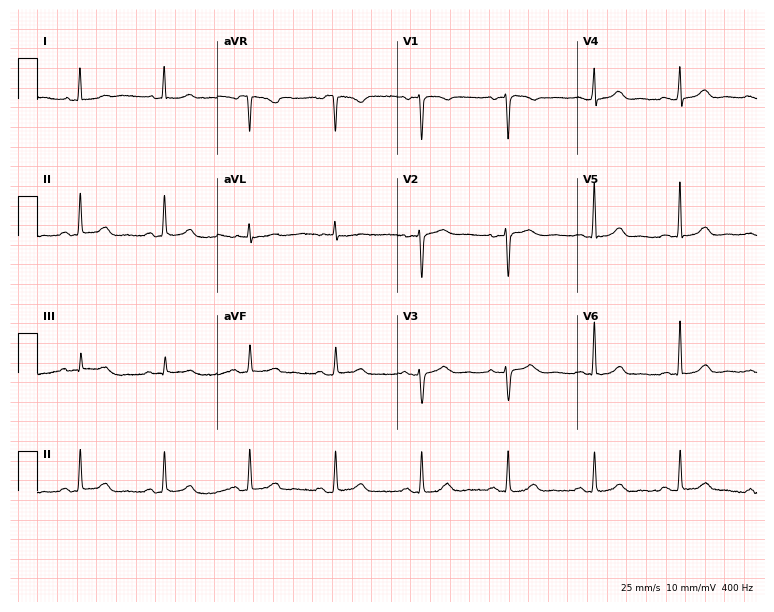
12-lead ECG from a 58-year-old female (7.3-second recording at 400 Hz). Recorded interpretation: within normal limits.